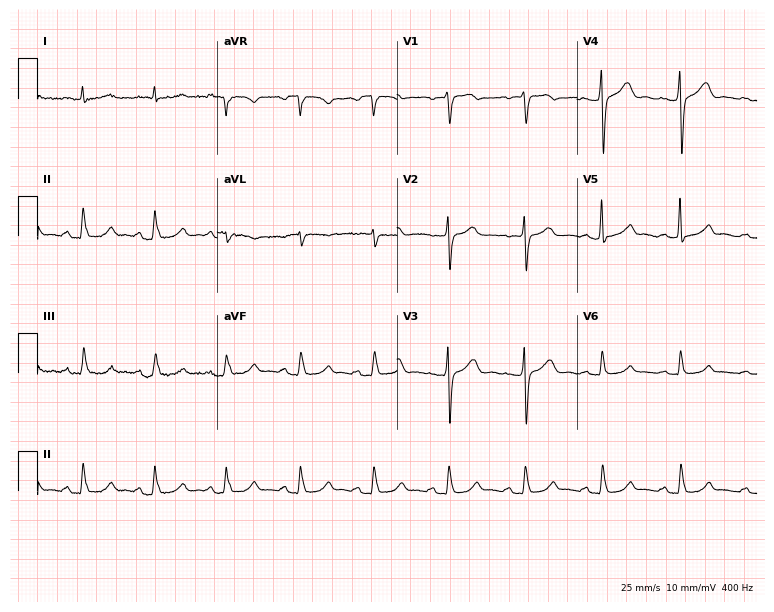
12-lead ECG from a female, 52 years old (7.3-second recording at 400 Hz). No first-degree AV block, right bundle branch block, left bundle branch block, sinus bradycardia, atrial fibrillation or sinus tachycardia recorded for this tracing. Only these six findings were labelled.